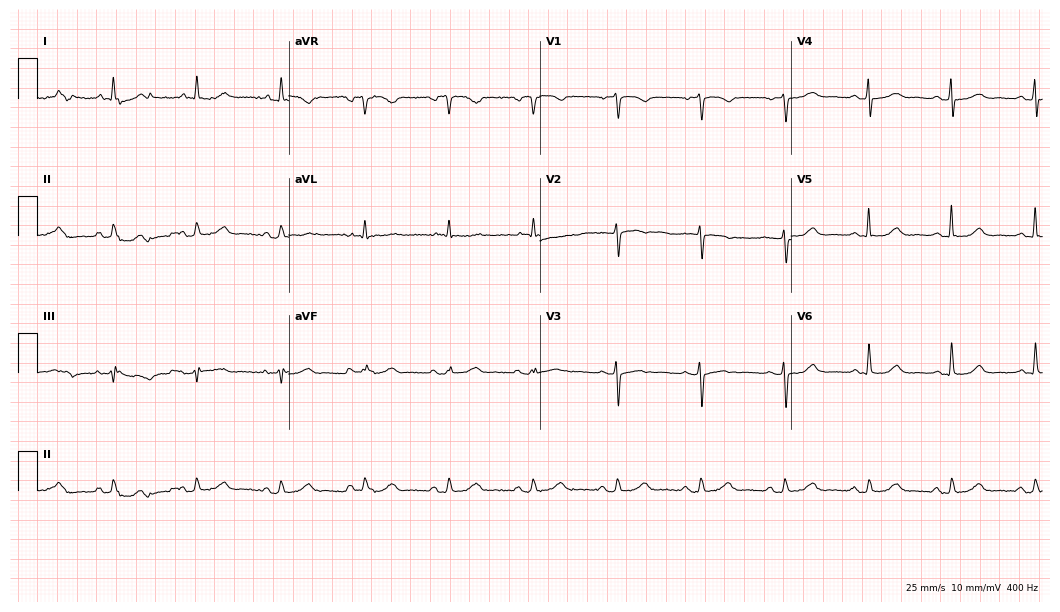
Standard 12-lead ECG recorded from a female patient, 79 years old (10.2-second recording at 400 Hz). None of these six findings is recorded: first-degree AV block, right bundle branch block (RBBB), left bundle branch block (LBBB), sinus bradycardia, atrial fibrillation (AF), sinus tachycardia. Only these six findings were labelled.